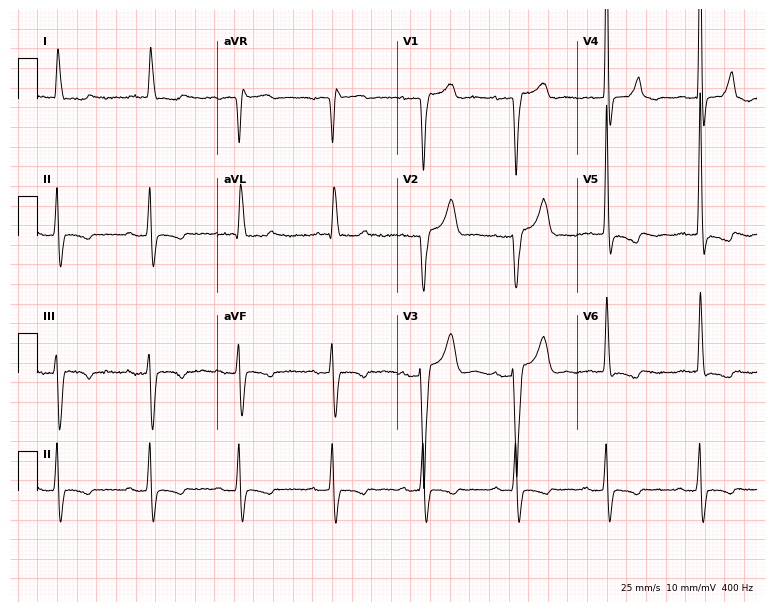
ECG (7.3-second recording at 400 Hz) — a male, 80 years old. Screened for six findings — first-degree AV block, right bundle branch block (RBBB), left bundle branch block (LBBB), sinus bradycardia, atrial fibrillation (AF), sinus tachycardia — none is recorded.